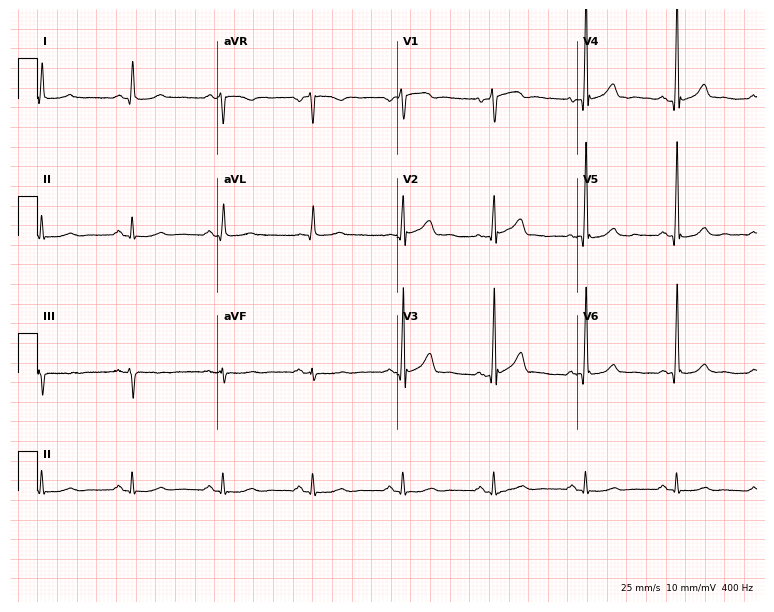
12-lead ECG from a man, 64 years old (7.3-second recording at 400 Hz). No first-degree AV block, right bundle branch block, left bundle branch block, sinus bradycardia, atrial fibrillation or sinus tachycardia recorded for this tracing. Findings outside these six are not listed.